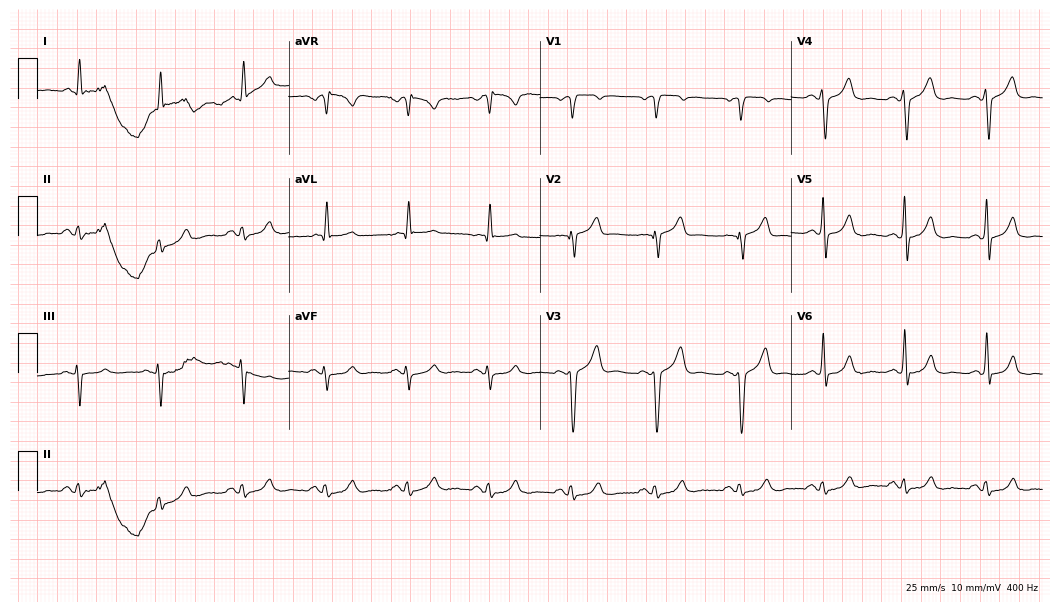
12-lead ECG from a 66-year-old man (10.2-second recording at 400 Hz). Recorded interpretation: within normal limits.